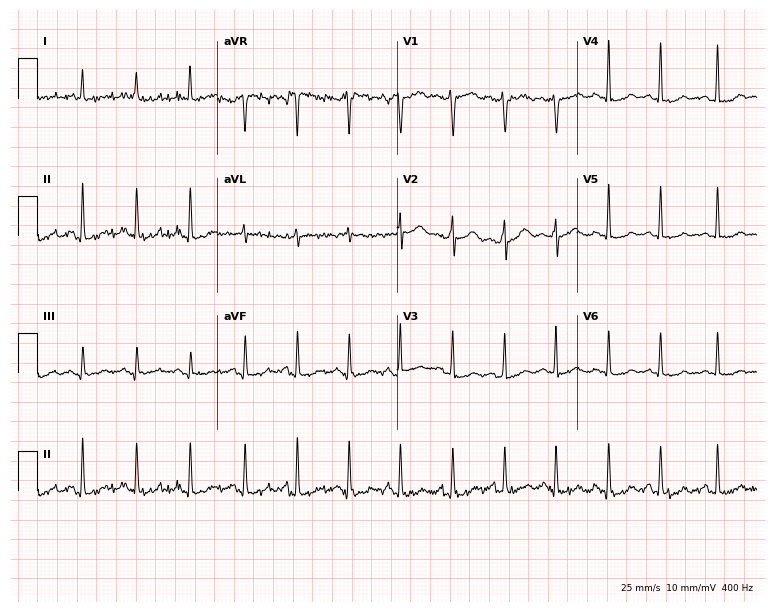
ECG (7.3-second recording at 400 Hz) — a female, 23 years old. Findings include sinus tachycardia (a sinus rate of 100 beats per minute or more).